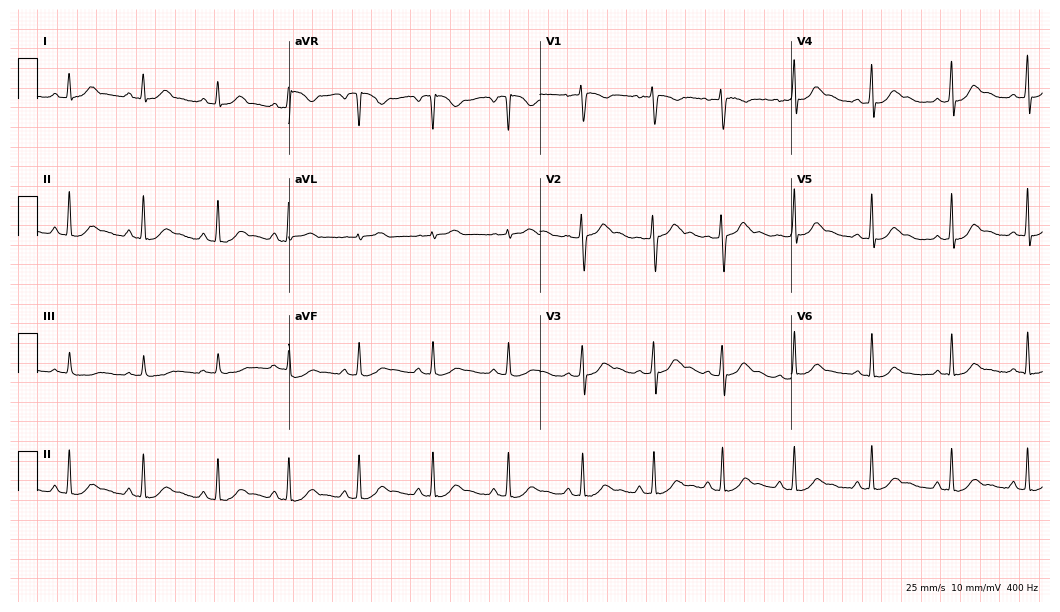
12-lead ECG (10.2-second recording at 400 Hz) from a female patient, 19 years old. Labelled as a normal ECG.